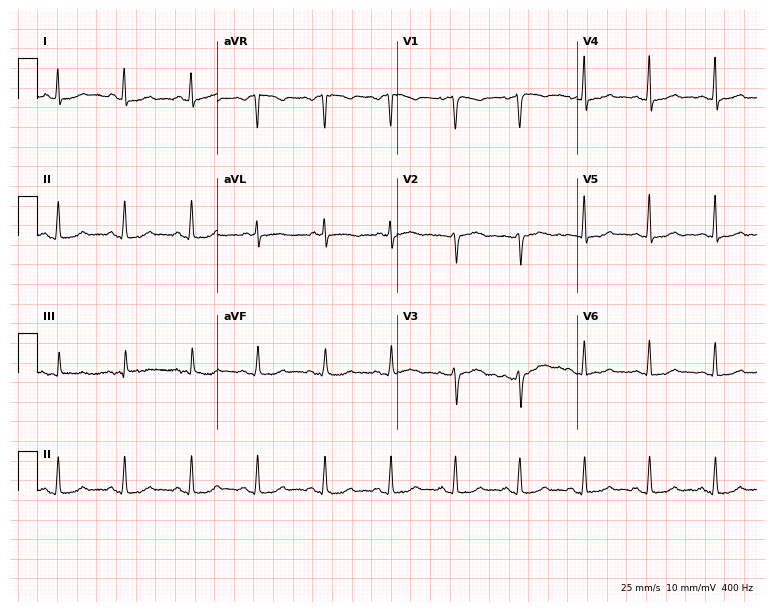
ECG — a female patient, 42 years old. Screened for six findings — first-degree AV block, right bundle branch block, left bundle branch block, sinus bradycardia, atrial fibrillation, sinus tachycardia — none is recorded.